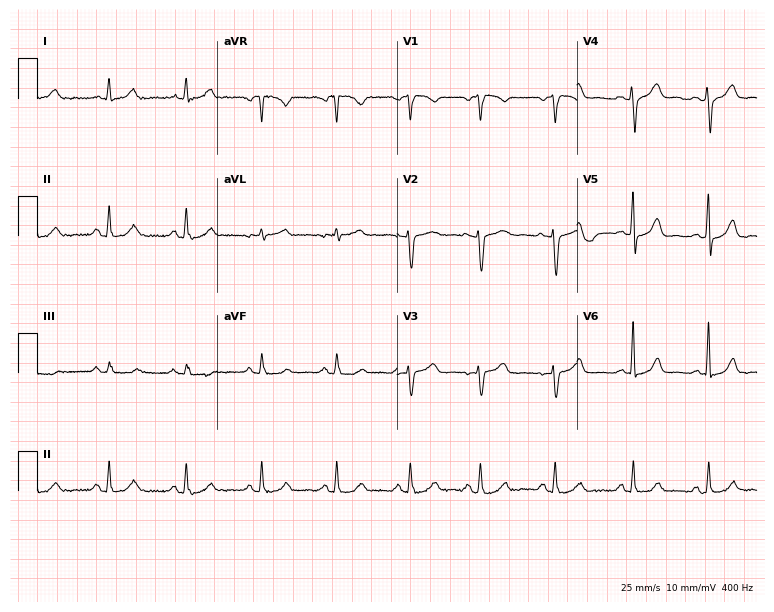
12-lead ECG from a 48-year-old woman. Recorded interpretation: within normal limits.